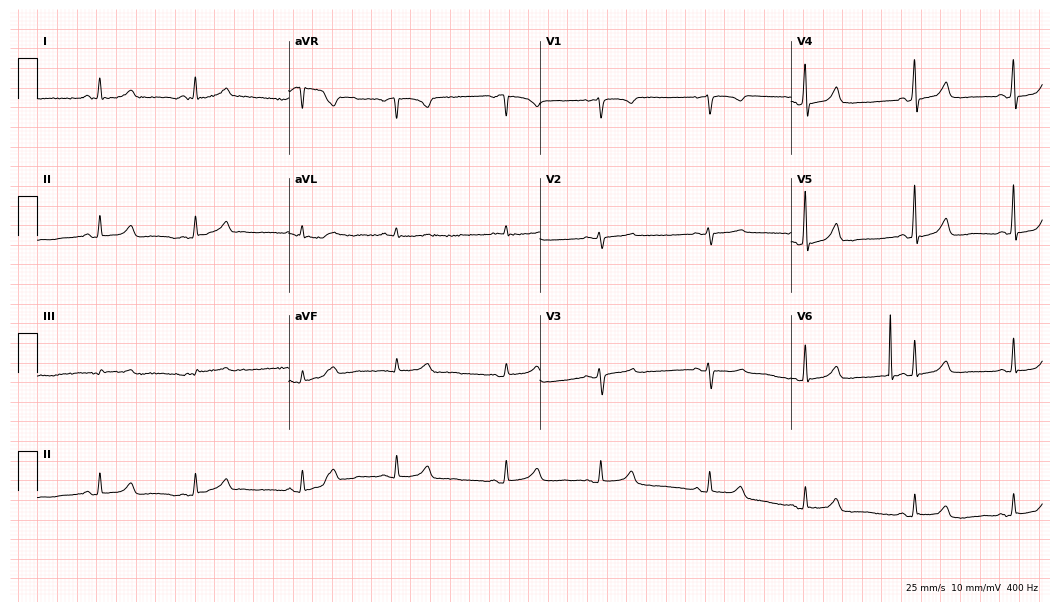
Electrocardiogram, a 71-year-old female. Overall reading on record: normal ECG.